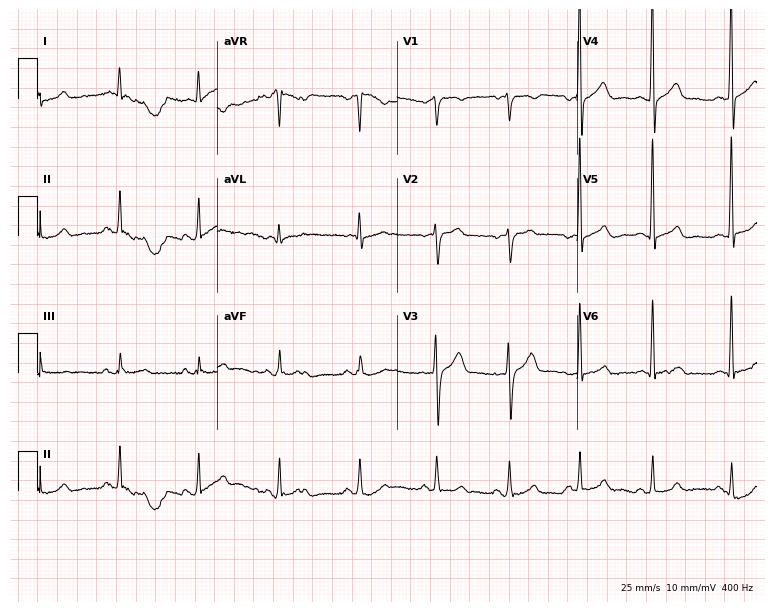
ECG — a male patient, 44 years old. Labelled as a normal ECG.